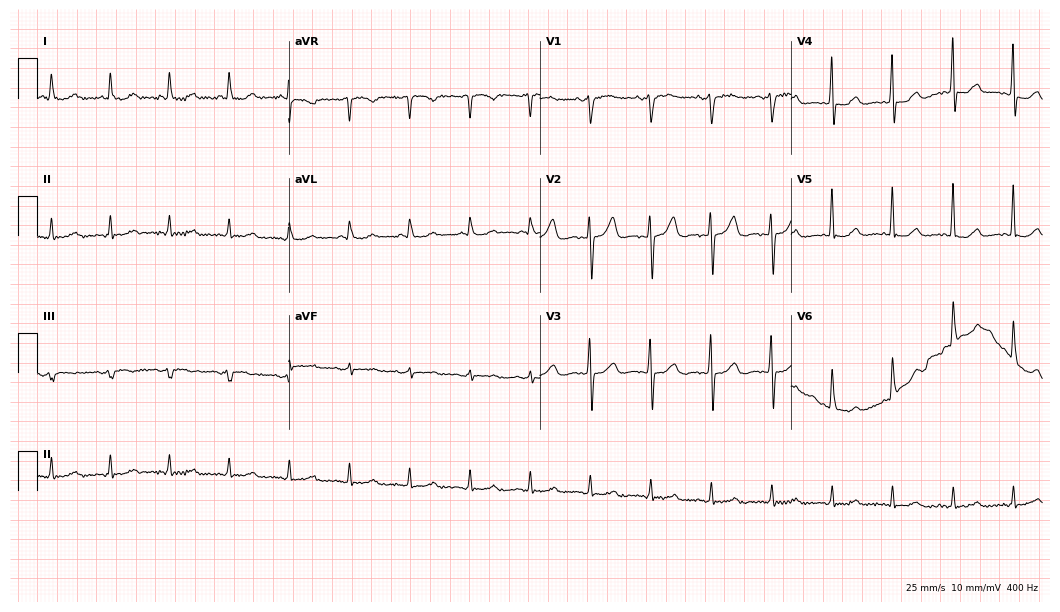
Electrocardiogram, a female patient, 79 years old. Of the six screened findings (first-degree AV block, right bundle branch block (RBBB), left bundle branch block (LBBB), sinus bradycardia, atrial fibrillation (AF), sinus tachycardia), none is recorded. Other findings, if any, are not listed.